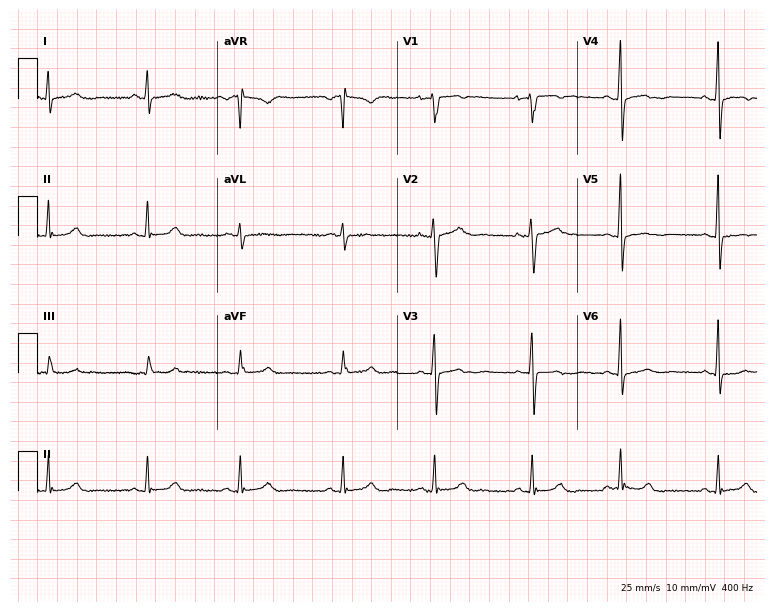
Electrocardiogram (7.3-second recording at 400 Hz), a 36-year-old female patient. Of the six screened findings (first-degree AV block, right bundle branch block (RBBB), left bundle branch block (LBBB), sinus bradycardia, atrial fibrillation (AF), sinus tachycardia), none is recorded. Findings outside these six are not listed.